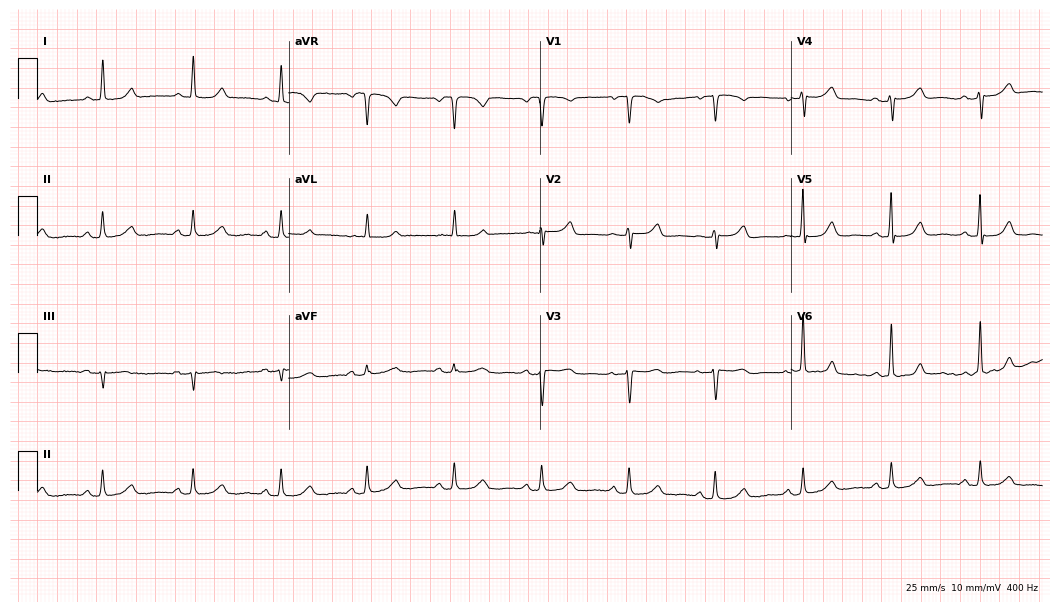
Standard 12-lead ECG recorded from a woman, 74 years old (10.2-second recording at 400 Hz). None of these six findings is recorded: first-degree AV block, right bundle branch block, left bundle branch block, sinus bradycardia, atrial fibrillation, sinus tachycardia.